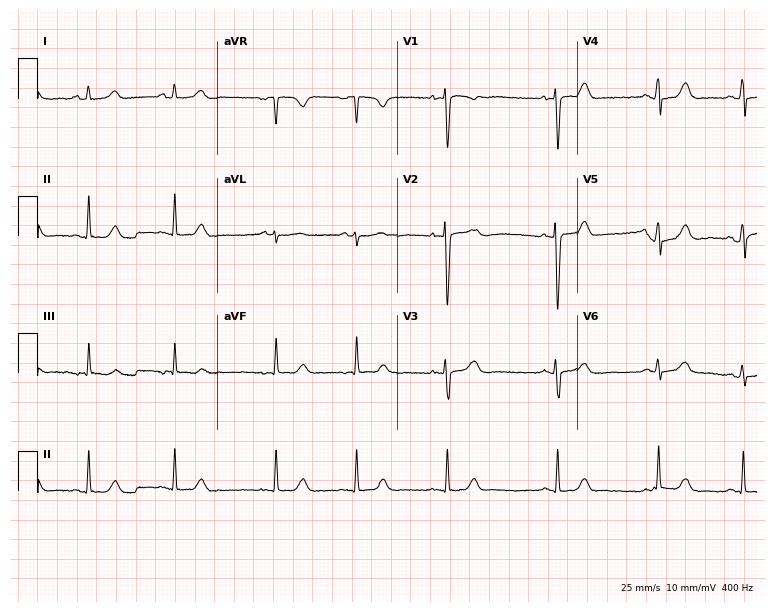
12-lead ECG (7.3-second recording at 400 Hz) from a 17-year-old female. Screened for six findings — first-degree AV block, right bundle branch block, left bundle branch block, sinus bradycardia, atrial fibrillation, sinus tachycardia — none is recorded.